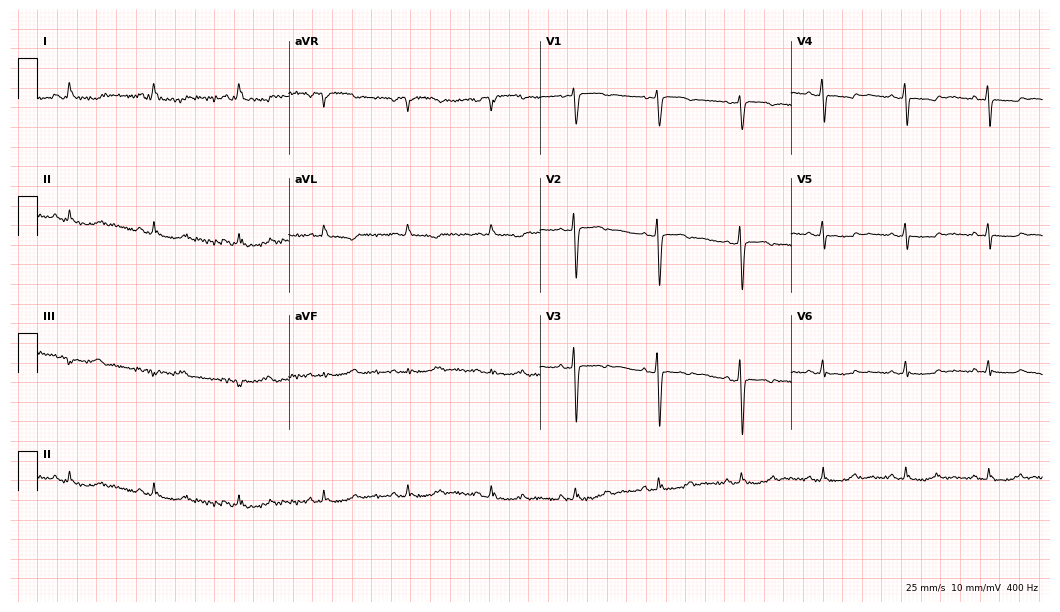
12-lead ECG from a 48-year-old female patient. Screened for six findings — first-degree AV block, right bundle branch block, left bundle branch block, sinus bradycardia, atrial fibrillation, sinus tachycardia — none is recorded.